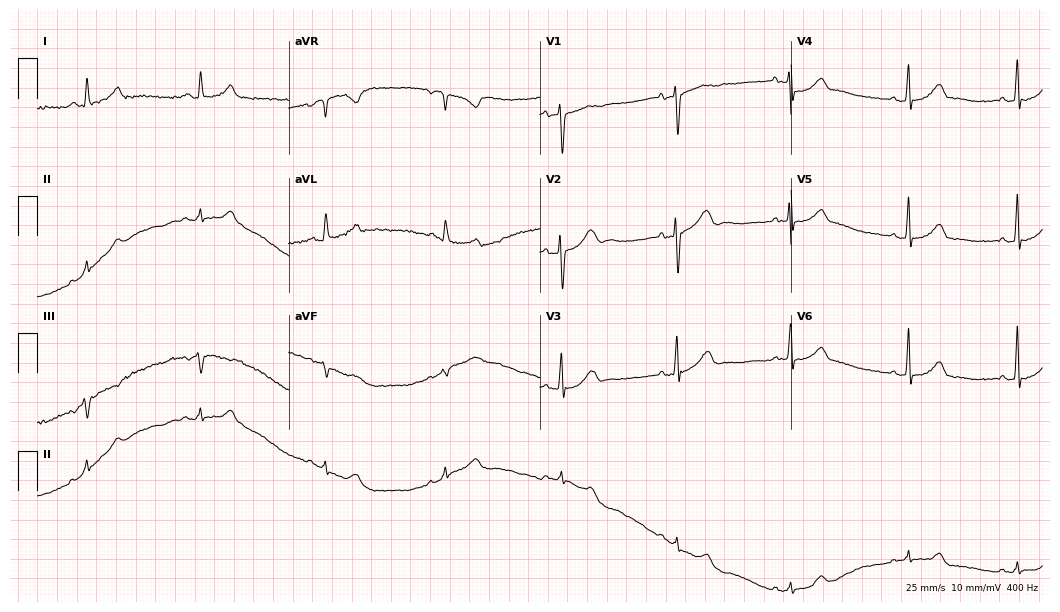
Standard 12-lead ECG recorded from a 58-year-old male (10.2-second recording at 400 Hz). Read as a normal ECG.